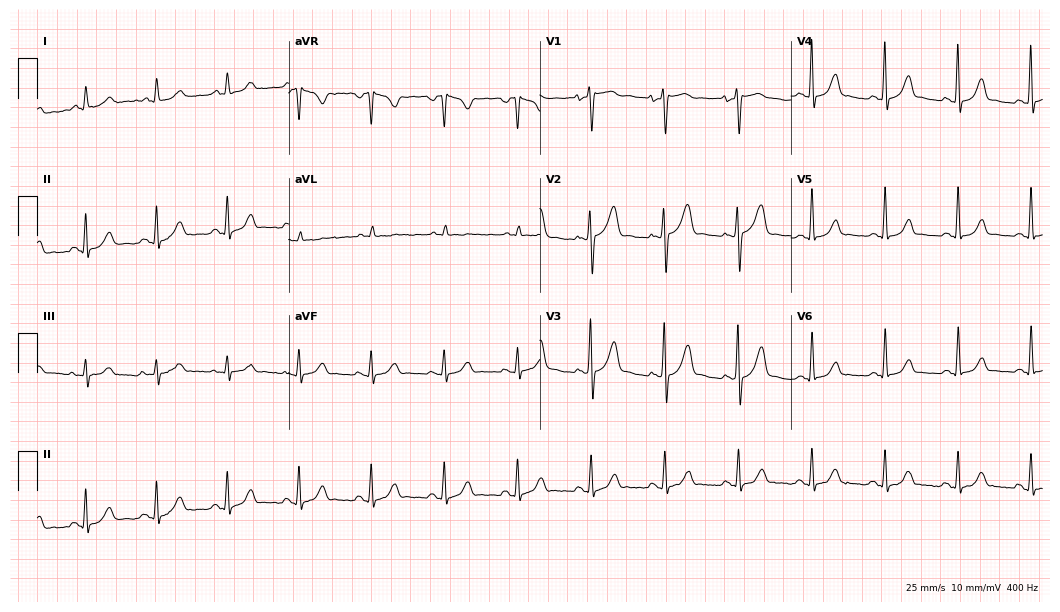
Resting 12-lead electrocardiogram (10.2-second recording at 400 Hz). Patient: a 58-year-old woman. Read as a normal ECG.